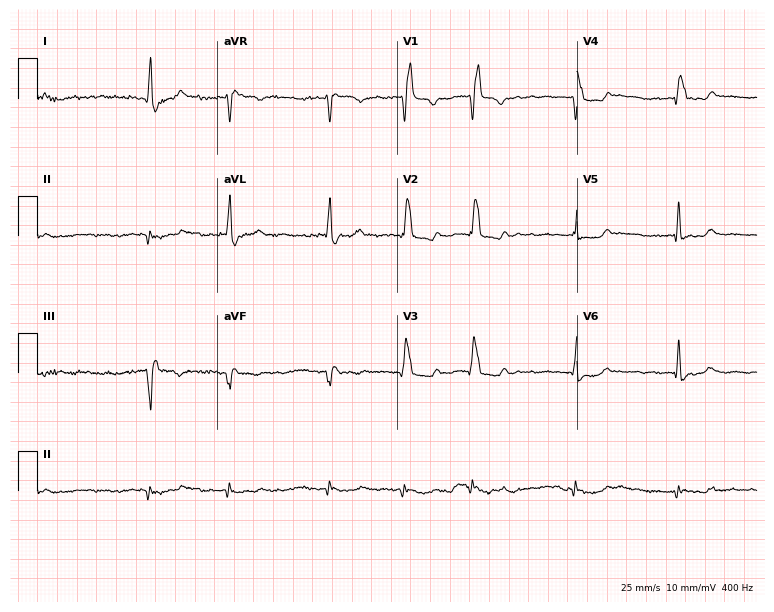
ECG — a 73-year-old male patient. Findings include right bundle branch block (RBBB), atrial fibrillation (AF).